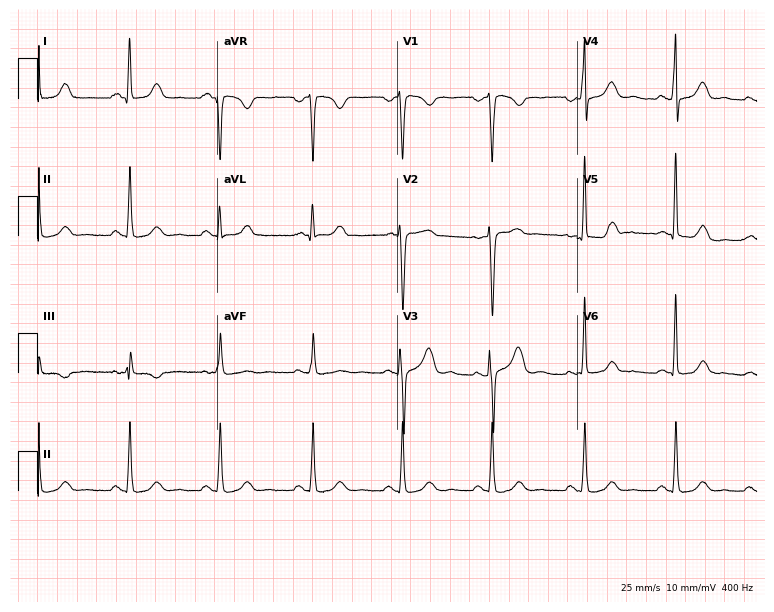
Resting 12-lead electrocardiogram (7.3-second recording at 400 Hz). Patient: a 35-year-old female. None of these six findings is recorded: first-degree AV block, right bundle branch block (RBBB), left bundle branch block (LBBB), sinus bradycardia, atrial fibrillation (AF), sinus tachycardia. Only these six findings were labelled.